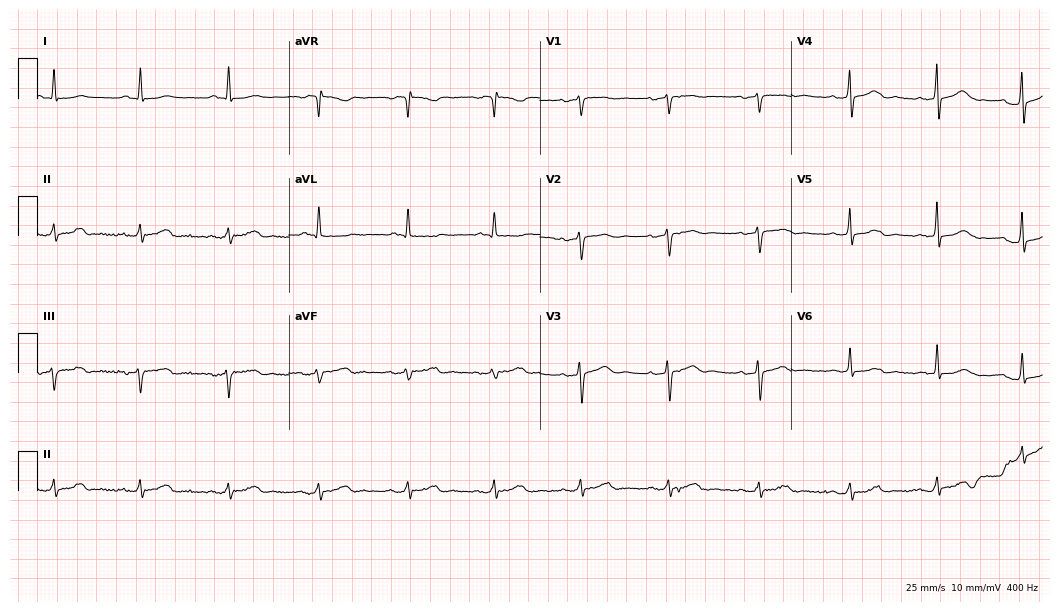
ECG (10.2-second recording at 400 Hz) — a female patient, 64 years old. Screened for six findings — first-degree AV block, right bundle branch block (RBBB), left bundle branch block (LBBB), sinus bradycardia, atrial fibrillation (AF), sinus tachycardia — none is recorded. Other findings, if any, are not listed.